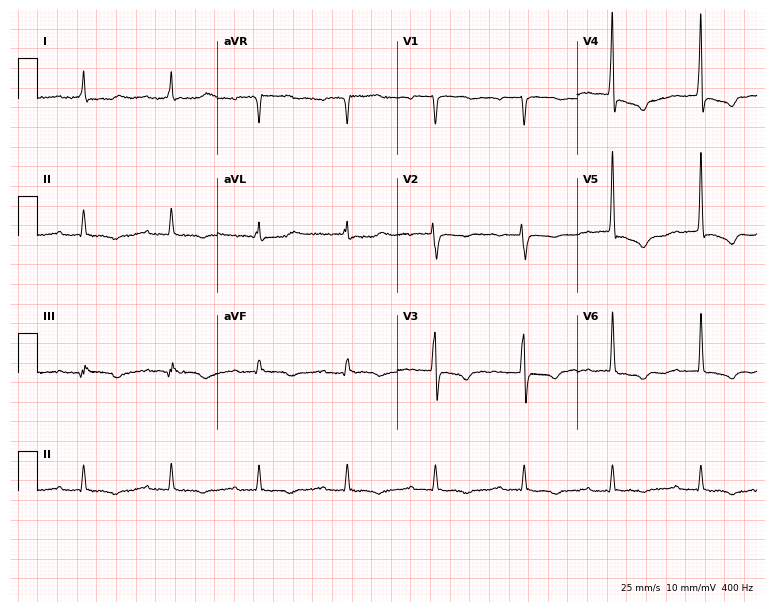
Resting 12-lead electrocardiogram (7.3-second recording at 400 Hz). Patient: a 68-year-old female. The tracing shows first-degree AV block.